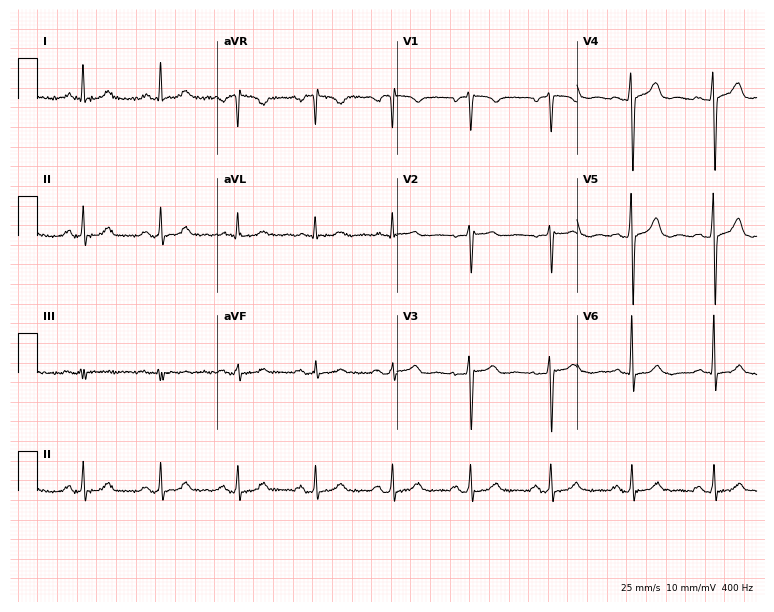
Resting 12-lead electrocardiogram. Patient: a woman, 58 years old. None of these six findings is recorded: first-degree AV block, right bundle branch block (RBBB), left bundle branch block (LBBB), sinus bradycardia, atrial fibrillation (AF), sinus tachycardia.